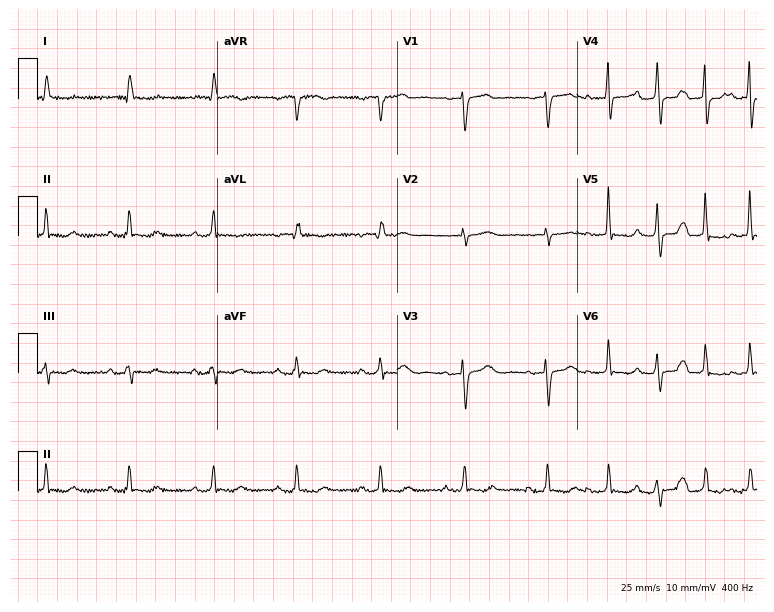
Standard 12-lead ECG recorded from a 73-year-old female (7.3-second recording at 400 Hz). None of these six findings is recorded: first-degree AV block, right bundle branch block, left bundle branch block, sinus bradycardia, atrial fibrillation, sinus tachycardia. Findings outside these six are not listed.